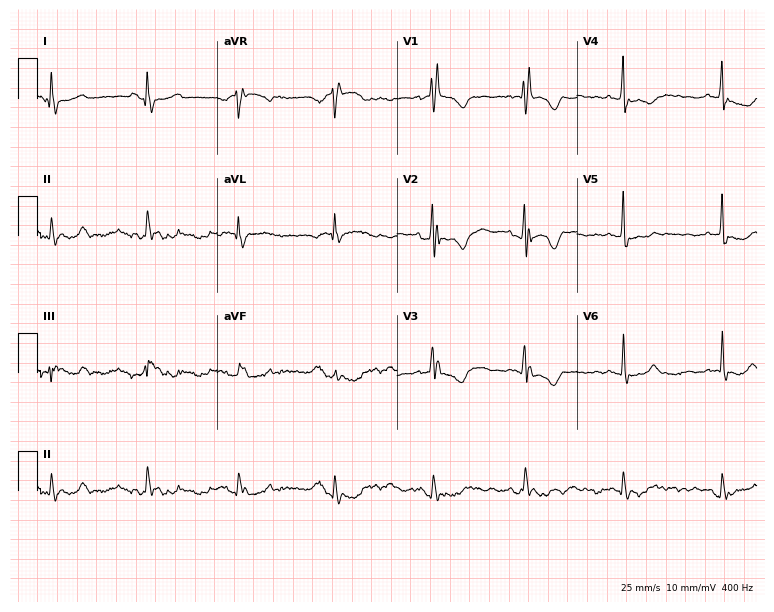
12-lead ECG from a 49-year-old female (7.3-second recording at 400 Hz). Shows right bundle branch block.